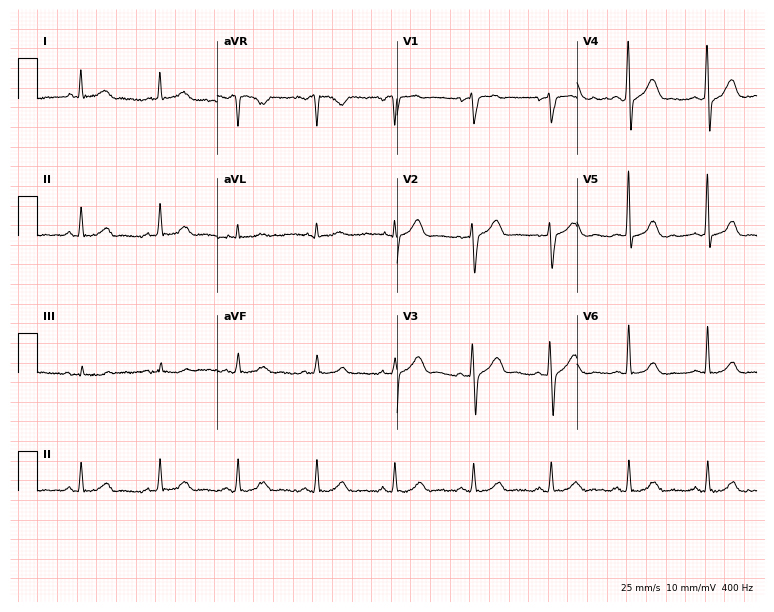
Standard 12-lead ECG recorded from a male, 50 years old (7.3-second recording at 400 Hz). Read as a normal ECG.